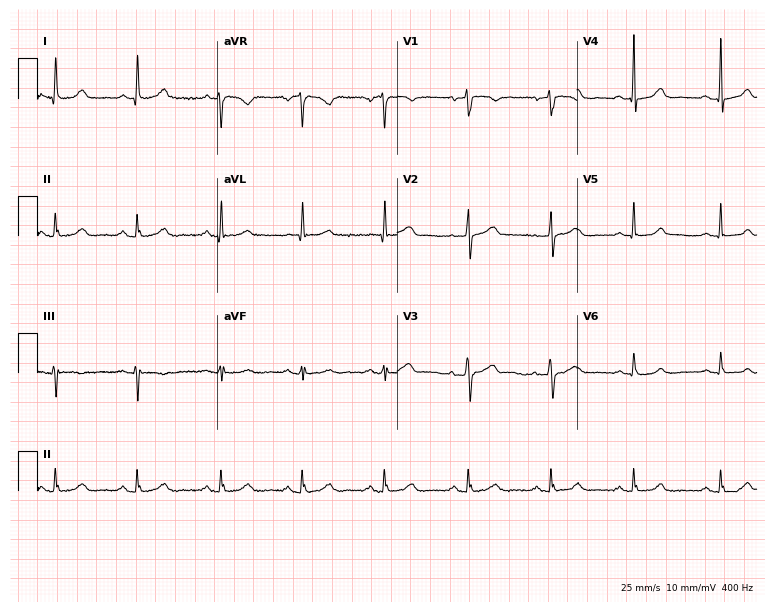
ECG (7.3-second recording at 400 Hz) — an 80-year-old woman. Labelled as a normal ECG.